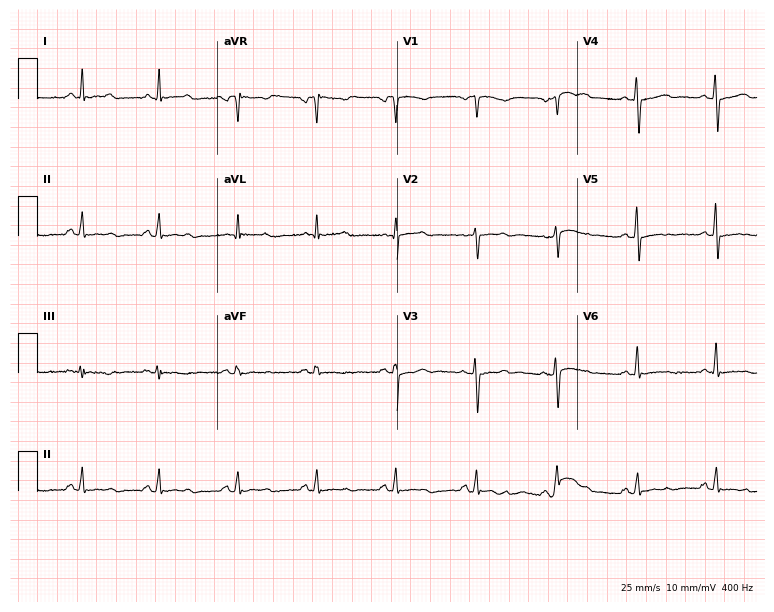
12-lead ECG from a female patient, 50 years old. Screened for six findings — first-degree AV block, right bundle branch block, left bundle branch block, sinus bradycardia, atrial fibrillation, sinus tachycardia — none is recorded.